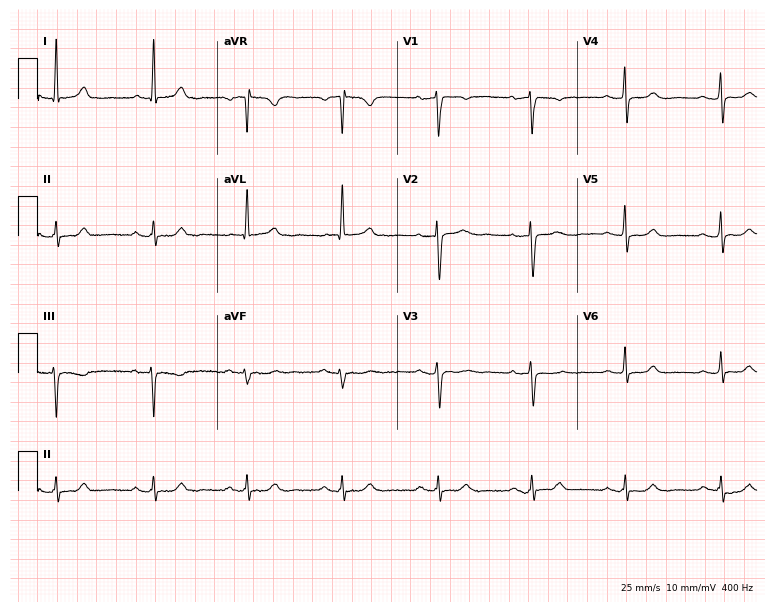
Electrocardiogram, a 76-year-old female patient. Overall reading on record: normal ECG.